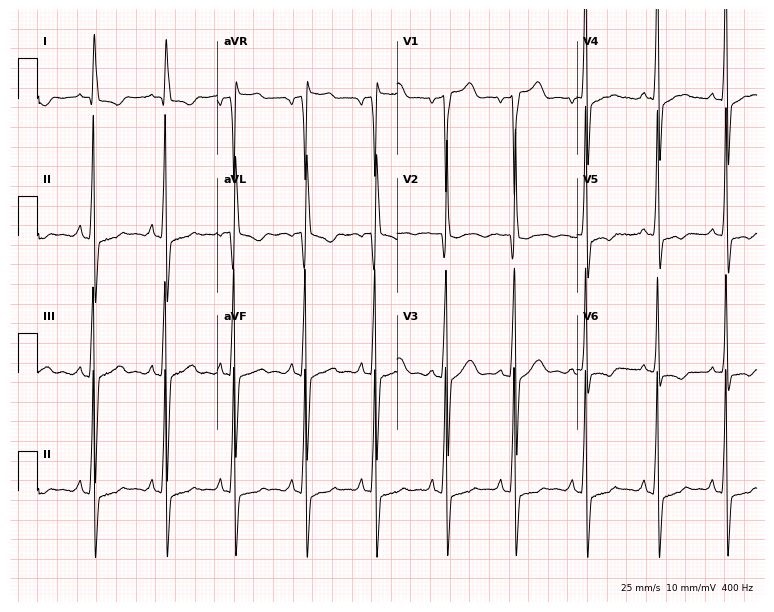
ECG (7.3-second recording at 400 Hz) — a 76-year-old female patient. Screened for six findings — first-degree AV block, right bundle branch block (RBBB), left bundle branch block (LBBB), sinus bradycardia, atrial fibrillation (AF), sinus tachycardia — none is recorded.